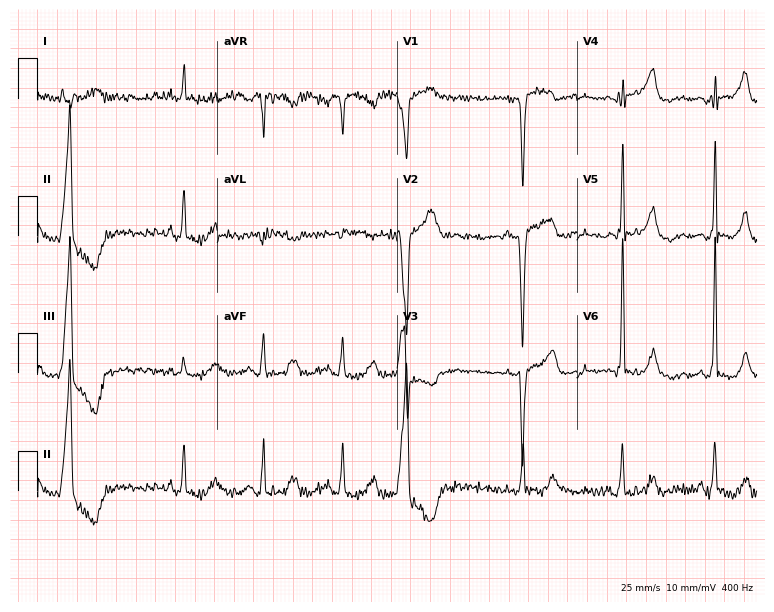
12-lead ECG from a female patient, 82 years old (7.3-second recording at 400 Hz). No first-degree AV block, right bundle branch block (RBBB), left bundle branch block (LBBB), sinus bradycardia, atrial fibrillation (AF) or sinus tachycardia recorded for this tracing. Findings outside these six are not listed.